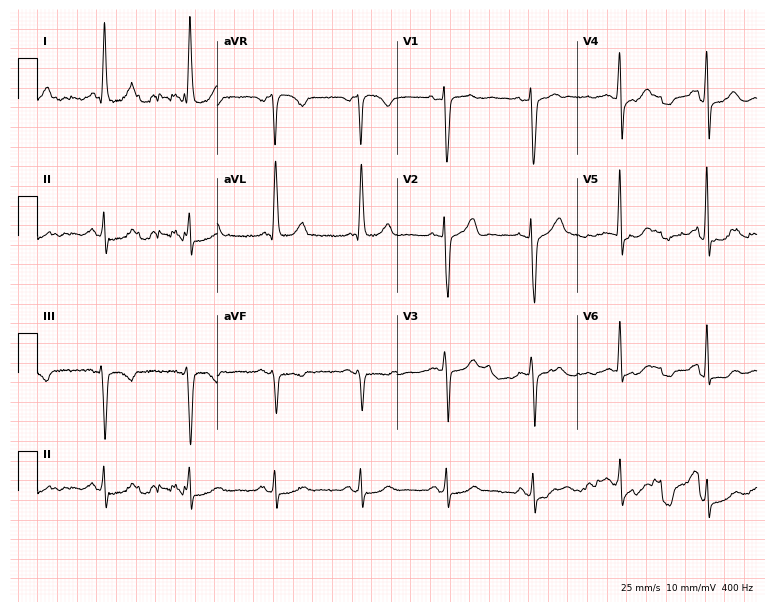
12-lead ECG from an 83-year-old male patient. No first-degree AV block, right bundle branch block (RBBB), left bundle branch block (LBBB), sinus bradycardia, atrial fibrillation (AF) or sinus tachycardia recorded for this tracing. Findings outside these six are not listed.